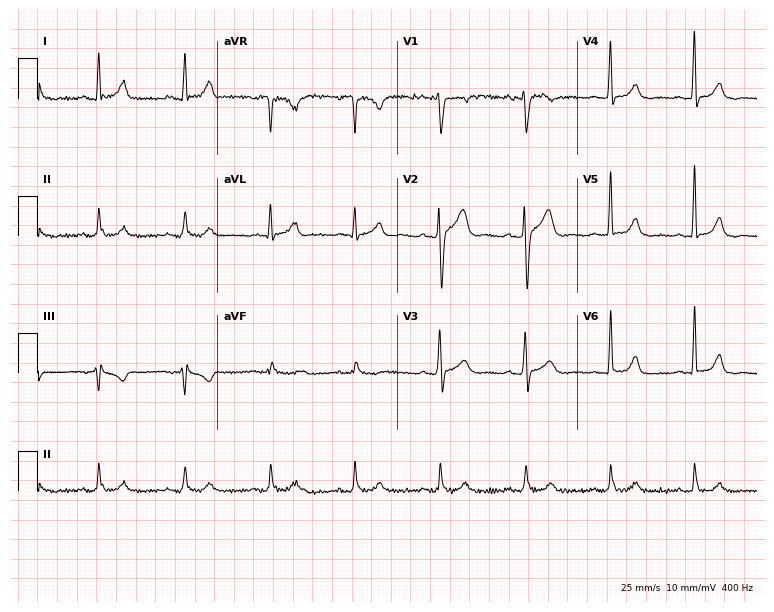
Resting 12-lead electrocardiogram. Patient: a man, 55 years old. None of these six findings is recorded: first-degree AV block, right bundle branch block (RBBB), left bundle branch block (LBBB), sinus bradycardia, atrial fibrillation (AF), sinus tachycardia. Findings outside these six are not listed.